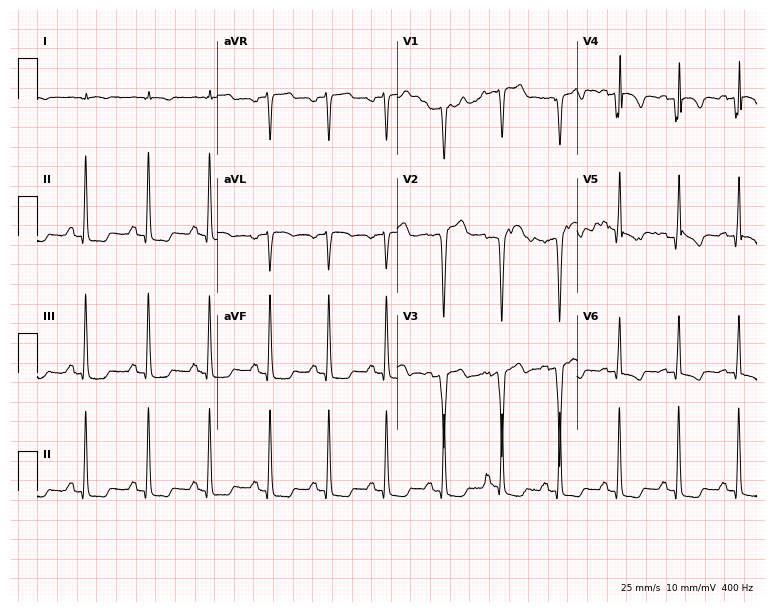
12-lead ECG (7.3-second recording at 400 Hz) from a 69-year-old male patient. Screened for six findings — first-degree AV block, right bundle branch block, left bundle branch block, sinus bradycardia, atrial fibrillation, sinus tachycardia — none is recorded.